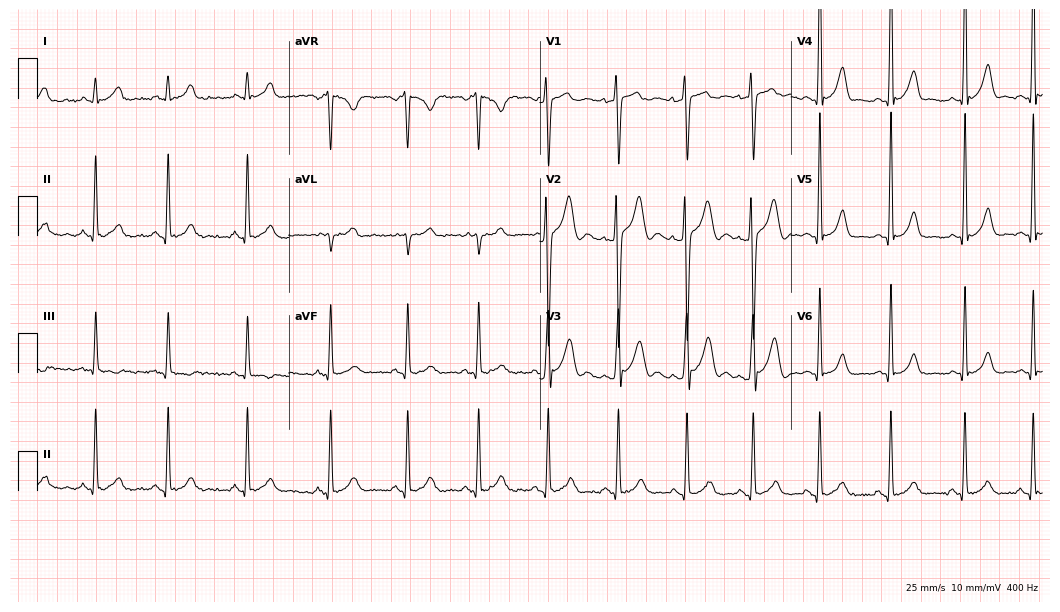
12-lead ECG from a male patient, 18 years old. Screened for six findings — first-degree AV block, right bundle branch block, left bundle branch block, sinus bradycardia, atrial fibrillation, sinus tachycardia — none is recorded. Only these six findings were labelled.